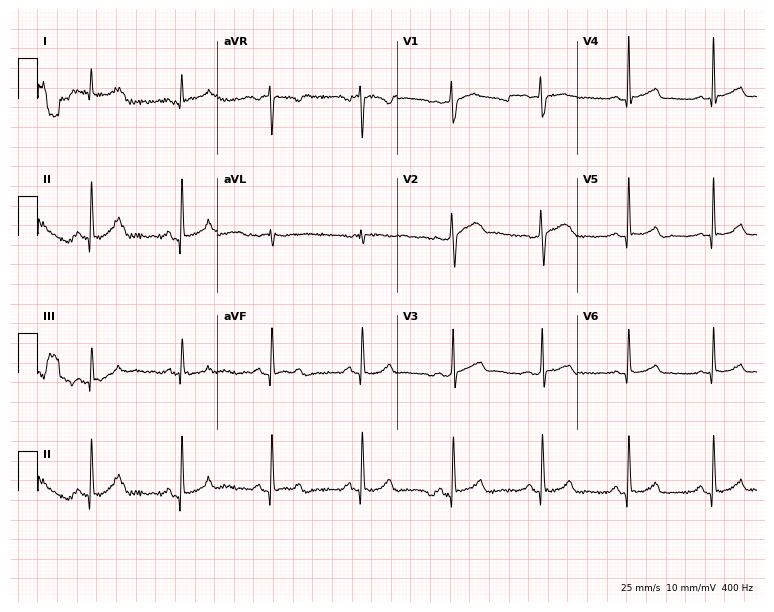
ECG (7.3-second recording at 400 Hz) — a 47-year-old male patient. Labelled as a normal ECG.